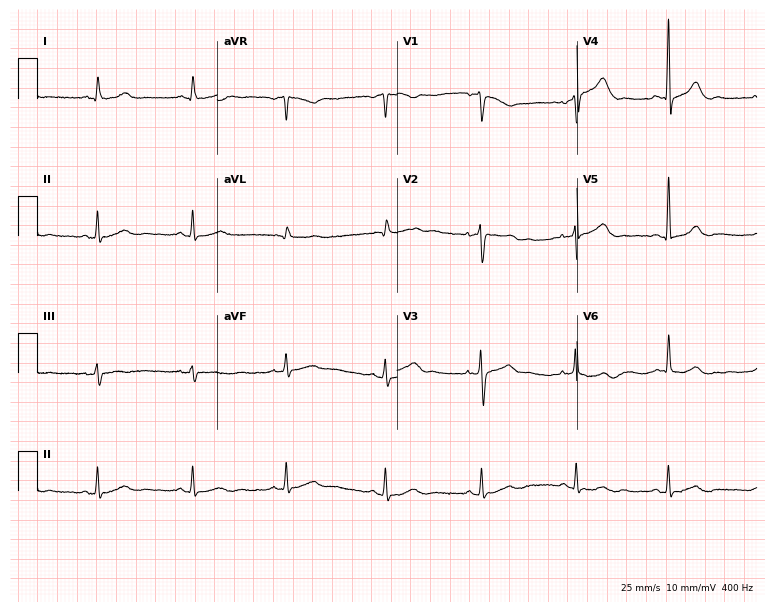
ECG — a woman, 49 years old. Screened for six findings — first-degree AV block, right bundle branch block, left bundle branch block, sinus bradycardia, atrial fibrillation, sinus tachycardia — none is recorded.